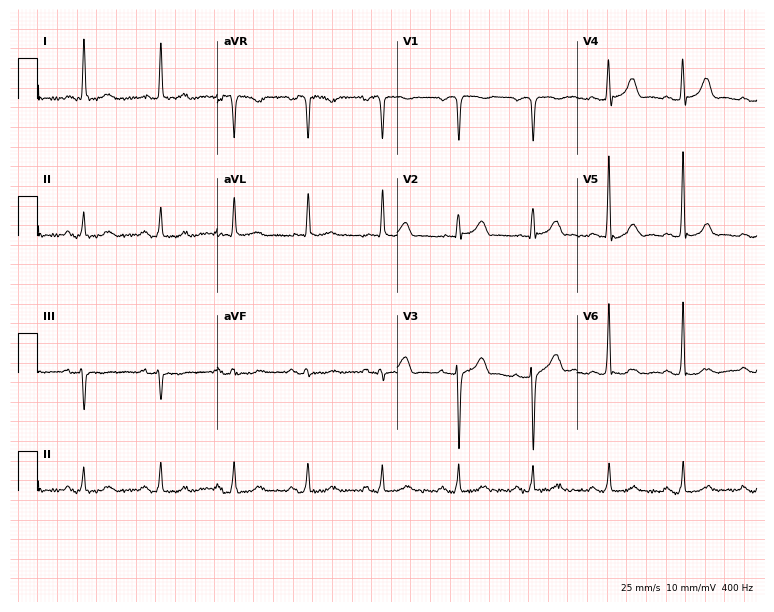
Resting 12-lead electrocardiogram (7.3-second recording at 400 Hz). Patient: a male, 85 years old. None of these six findings is recorded: first-degree AV block, right bundle branch block (RBBB), left bundle branch block (LBBB), sinus bradycardia, atrial fibrillation (AF), sinus tachycardia. Findings outside these six are not listed.